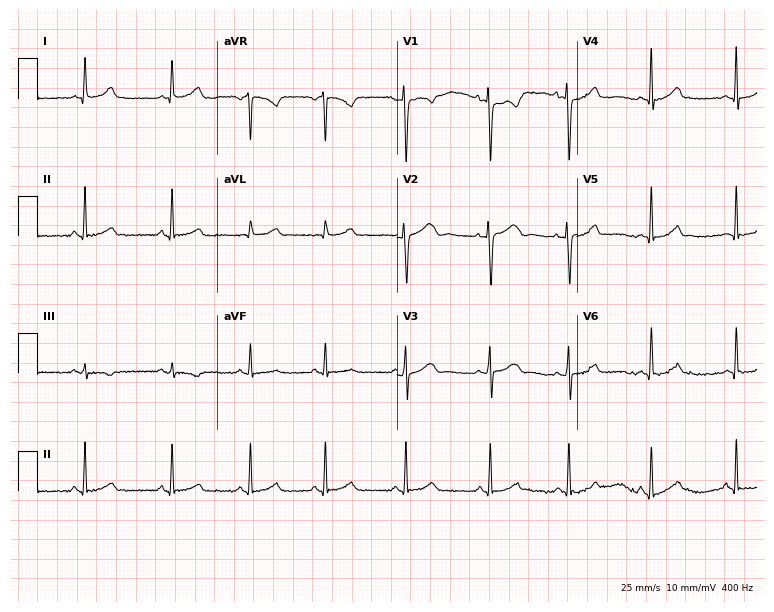
Electrocardiogram (7.3-second recording at 400 Hz), a 26-year-old female patient. Of the six screened findings (first-degree AV block, right bundle branch block (RBBB), left bundle branch block (LBBB), sinus bradycardia, atrial fibrillation (AF), sinus tachycardia), none is recorded. Findings outside these six are not listed.